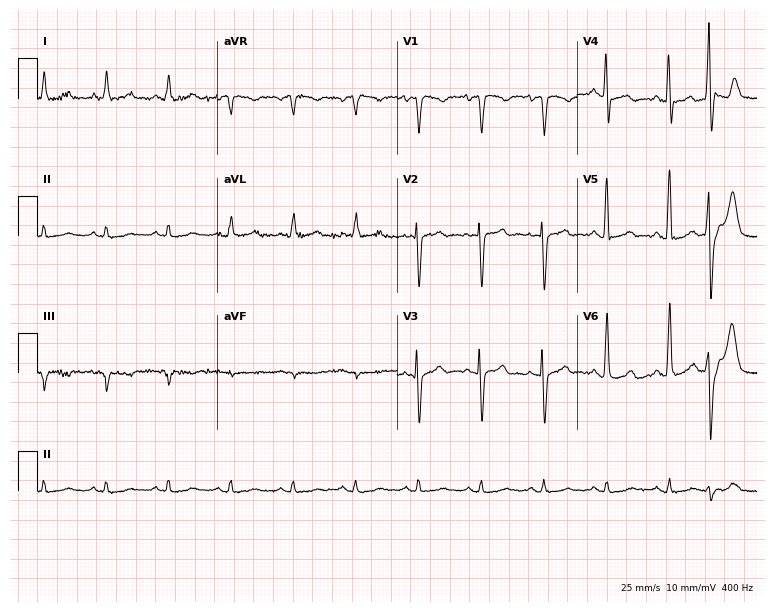
Electrocardiogram (7.3-second recording at 400 Hz), a female patient, 54 years old. Of the six screened findings (first-degree AV block, right bundle branch block (RBBB), left bundle branch block (LBBB), sinus bradycardia, atrial fibrillation (AF), sinus tachycardia), none is recorded.